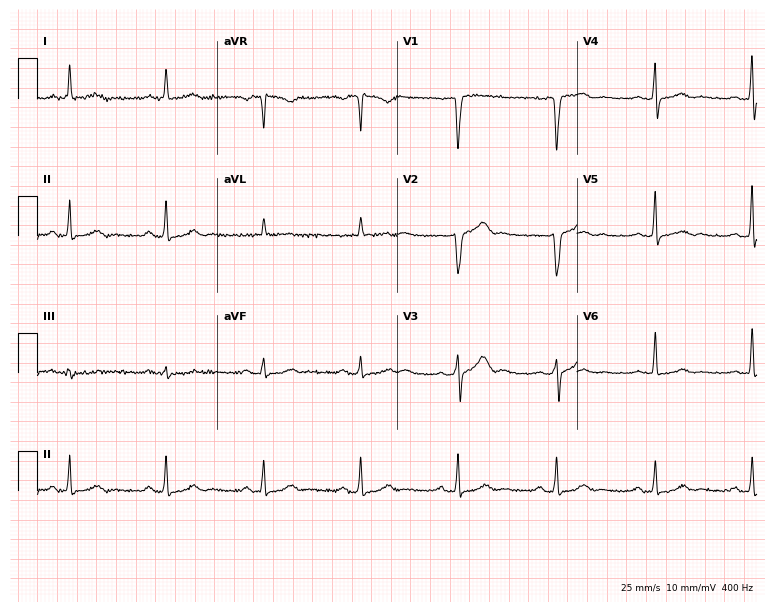
12-lead ECG from a male patient, 64 years old (7.3-second recording at 400 Hz). No first-degree AV block, right bundle branch block, left bundle branch block, sinus bradycardia, atrial fibrillation or sinus tachycardia recorded for this tracing.